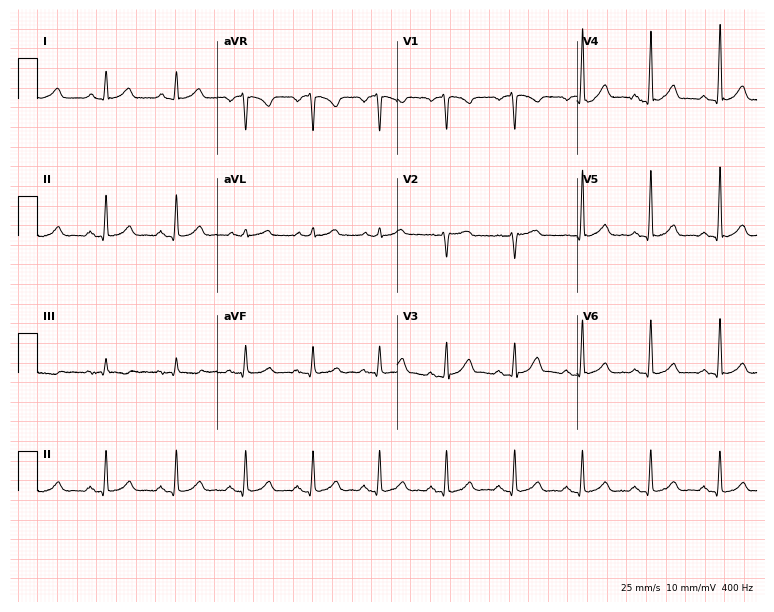
12-lead ECG (7.3-second recording at 400 Hz) from a male, 54 years old. Labelled as a normal ECG.